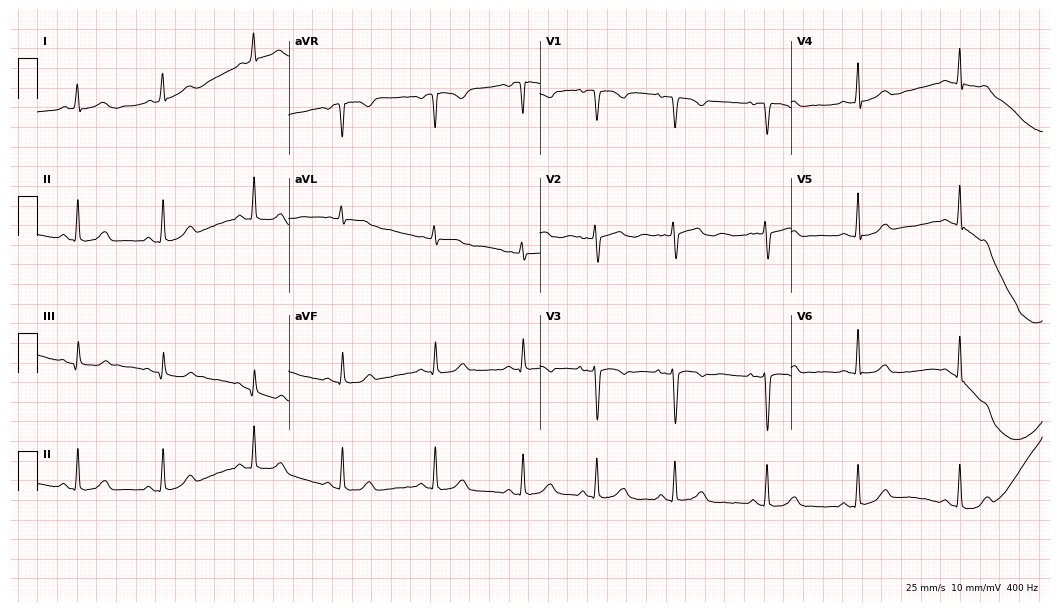
Electrocardiogram, a woman, 26 years old. Of the six screened findings (first-degree AV block, right bundle branch block (RBBB), left bundle branch block (LBBB), sinus bradycardia, atrial fibrillation (AF), sinus tachycardia), none is recorded. Other findings, if any, are not listed.